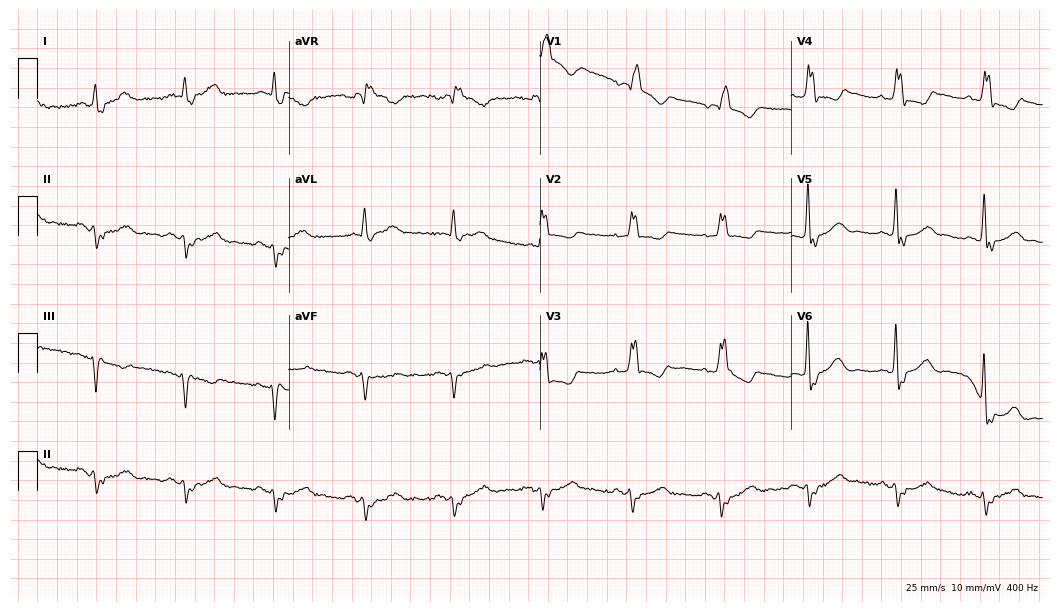
Resting 12-lead electrocardiogram (10.2-second recording at 400 Hz). Patient: a male, 81 years old. The tracing shows right bundle branch block, left bundle branch block.